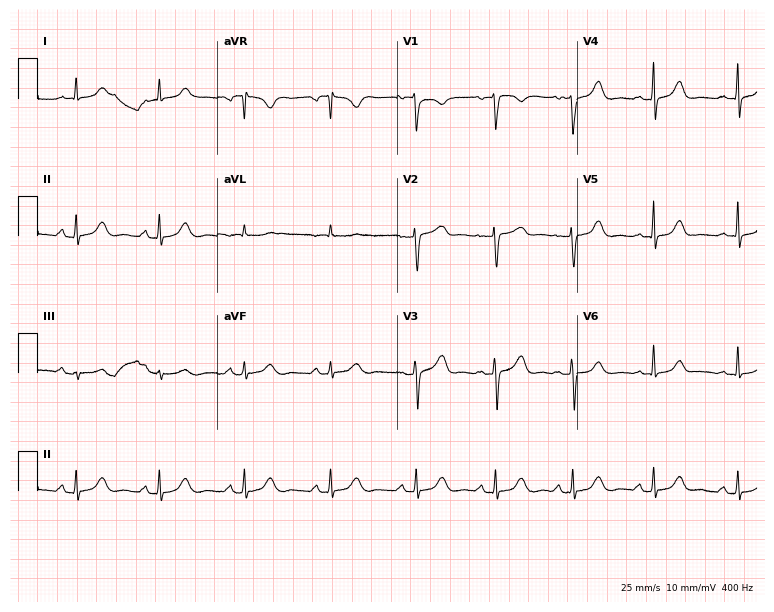
ECG — a female patient, 45 years old. Labelled as a normal ECG.